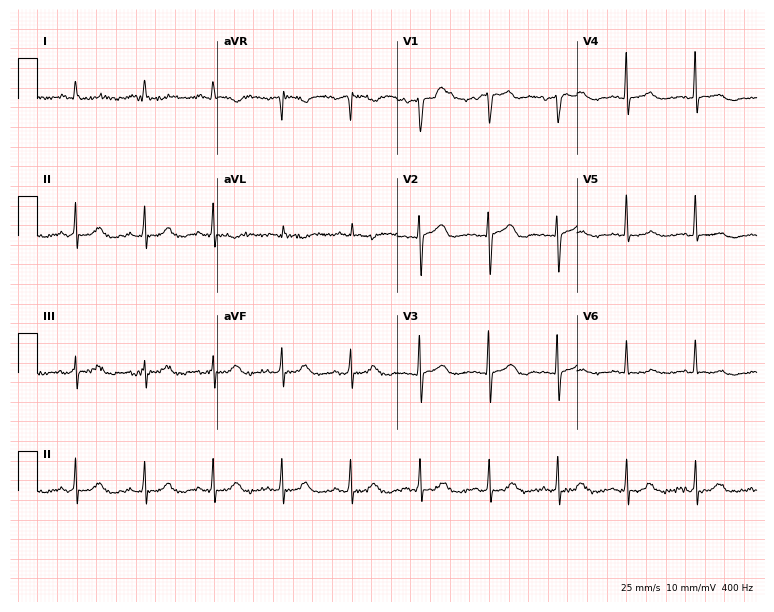
Standard 12-lead ECG recorded from an 84-year-old woman (7.3-second recording at 400 Hz). None of these six findings is recorded: first-degree AV block, right bundle branch block (RBBB), left bundle branch block (LBBB), sinus bradycardia, atrial fibrillation (AF), sinus tachycardia.